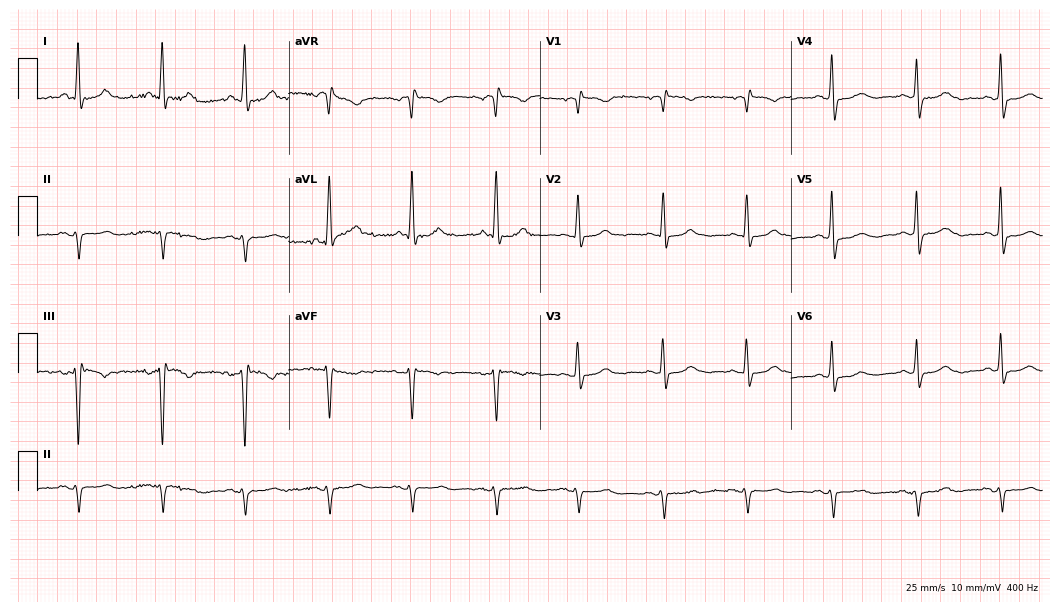
12-lead ECG from a female patient, 77 years old. Screened for six findings — first-degree AV block, right bundle branch block, left bundle branch block, sinus bradycardia, atrial fibrillation, sinus tachycardia — none is recorded. Findings outside these six are not listed.